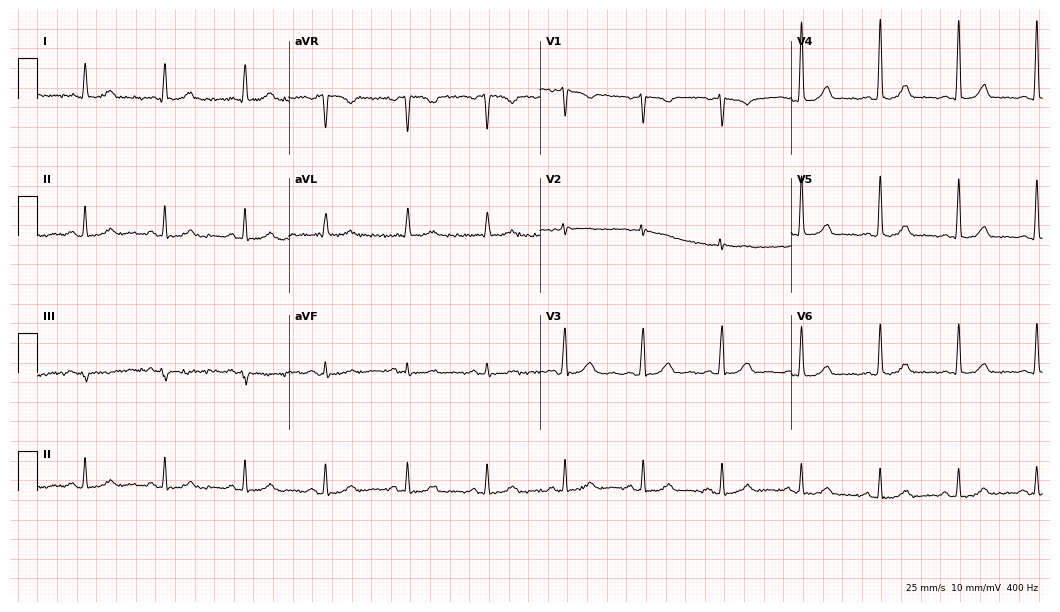
Standard 12-lead ECG recorded from a 62-year-old female patient. Read as a normal ECG.